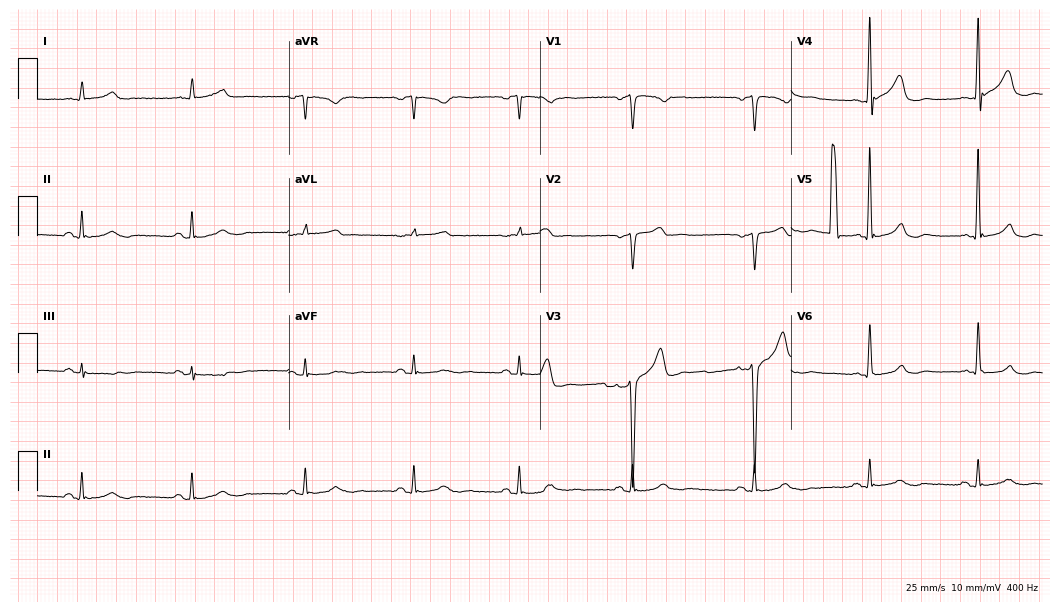
12-lead ECG (10.2-second recording at 400 Hz) from a male patient, 52 years old. Screened for six findings — first-degree AV block, right bundle branch block (RBBB), left bundle branch block (LBBB), sinus bradycardia, atrial fibrillation (AF), sinus tachycardia — none is recorded. Only these six findings were labelled.